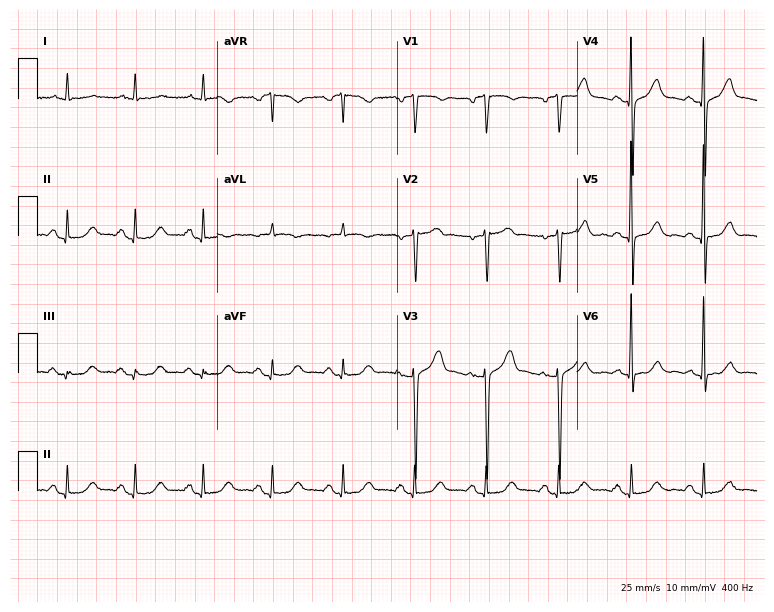
12-lead ECG from a male patient, 83 years old. Screened for six findings — first-degree AV block, right bundle branch block, left bundle branch block, sinus bradycardia, atrial fibrillation, sinus tachycardia — none is recorded. Other findings, if any, are not listed.